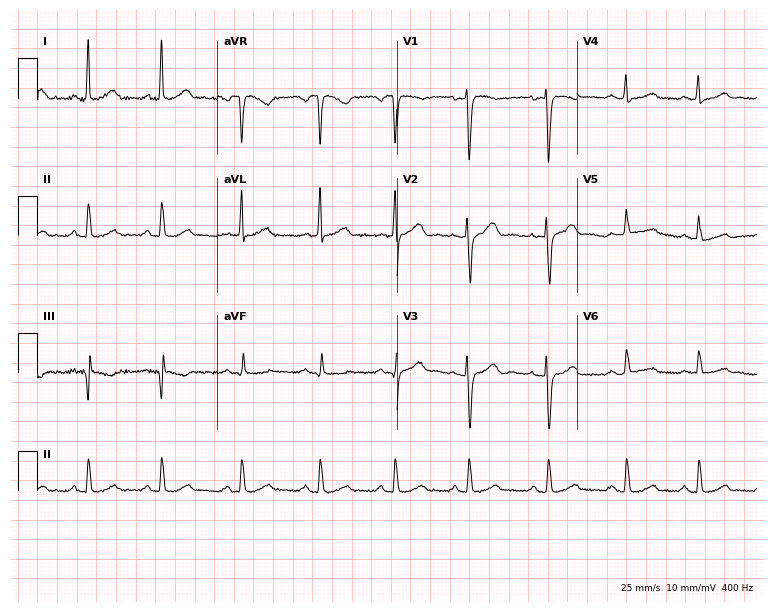
Electrocardiogram, a female patient, 40 years old. Overall reading on record: normal ECG.